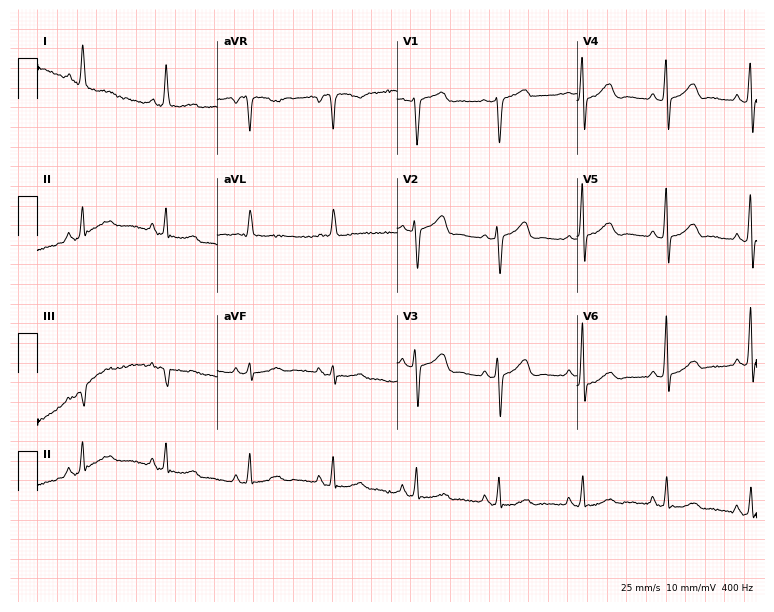
Standard 12-lead ECG recorded from a 57-year-old woman. None of these six findings is recorded: first-degree AV block, right bundle branch block, left bundle branch block, sinus bradycardia, atrial fibrillation, sinus tachycardia. Only these six findings were labelled.